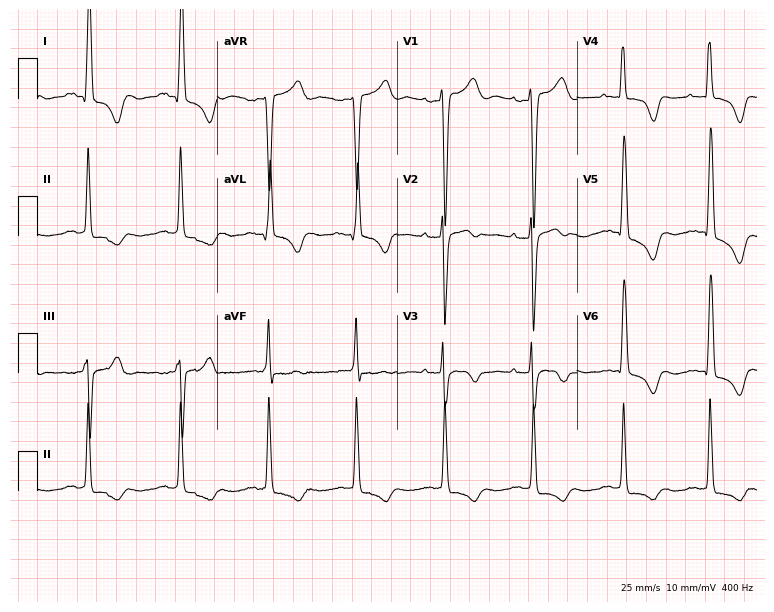
ECG (7.3-second recording at 400 Hz) — a 56-year-old female. Screened for six findings — first-degree AV block, right bundle branch block, left bundle branch block, sinus bradycardia, atrial fibrillation, sinus tachycardia — none is recorded.